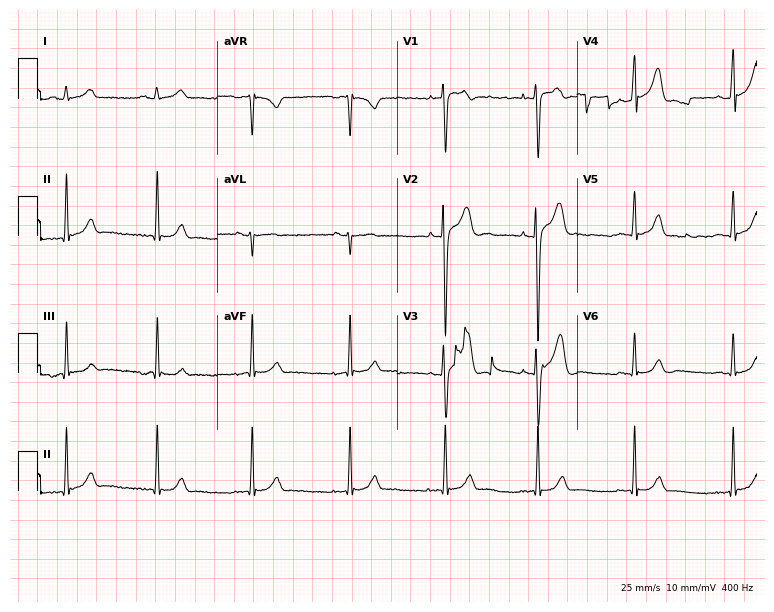
Standard 12-lead ECG recorded from a male, 19 years old (7.3-second recording at 400 Hz). Read as a normal ECG.